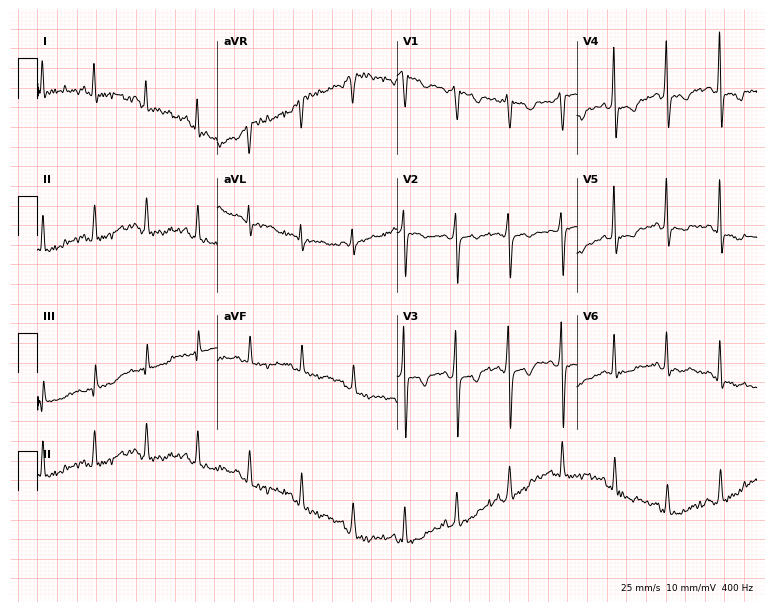
Standard 12-lead ECG recorded from a man, 49 years old (7.3-second recording at 400 Hz). The tracing shows sinus tachycardia (a sinus rate of 100 beats per minute or more).